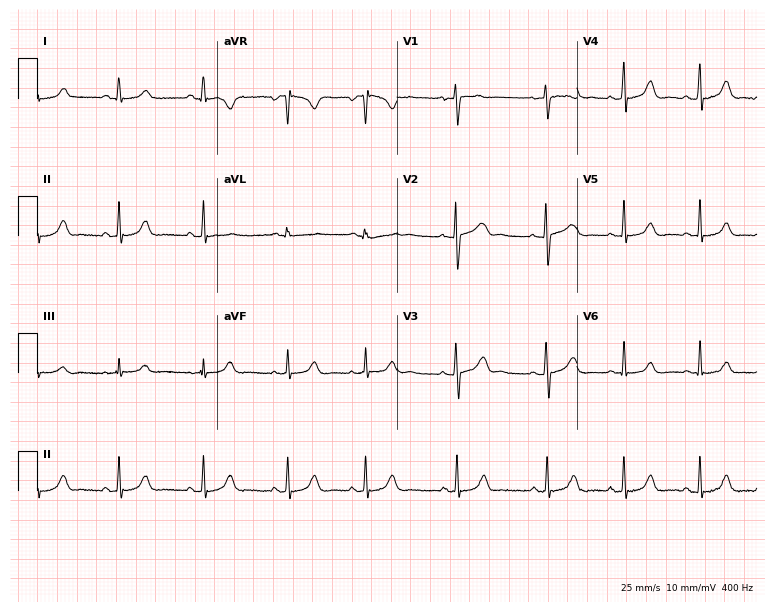
ECG (7.3-second recording at 400 Hz) — a 22-year-old female patient. Labelled as a normal ECG.